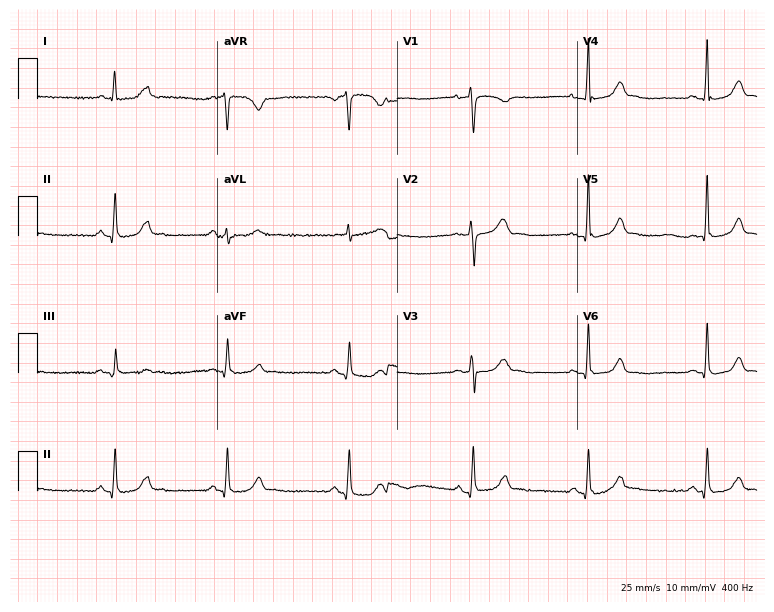
Standard 12-lead ECG recorded from a 36-year-old female (7.3-second recording at 400 Hz). The tracing shows sinus bradycardia (a sinus rate of 50 beats per minute or less).